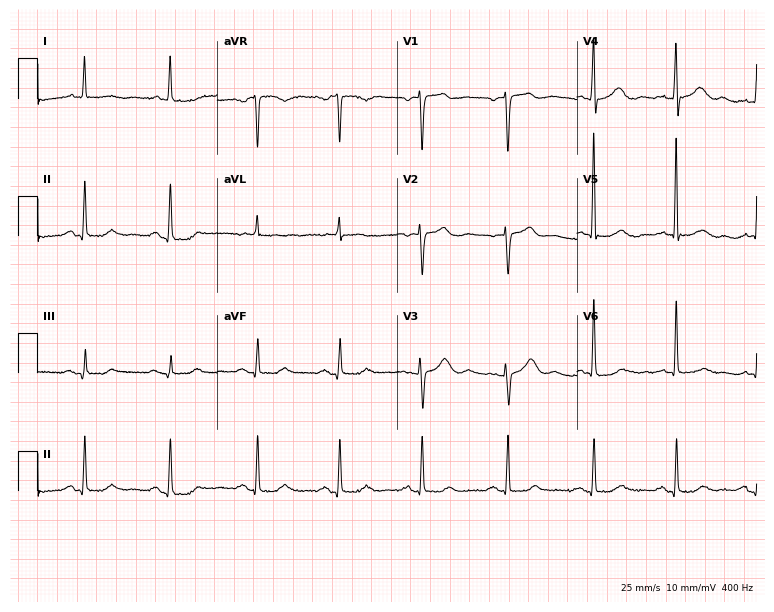
Standard 12-lead ECG recorded from a female, 77 years old. None of these six findings is recorded: first-degree AV block, right bundle branch block, left bundle branch block, sinus bradycardia, atrial fibrillation, sinus tachycardia.